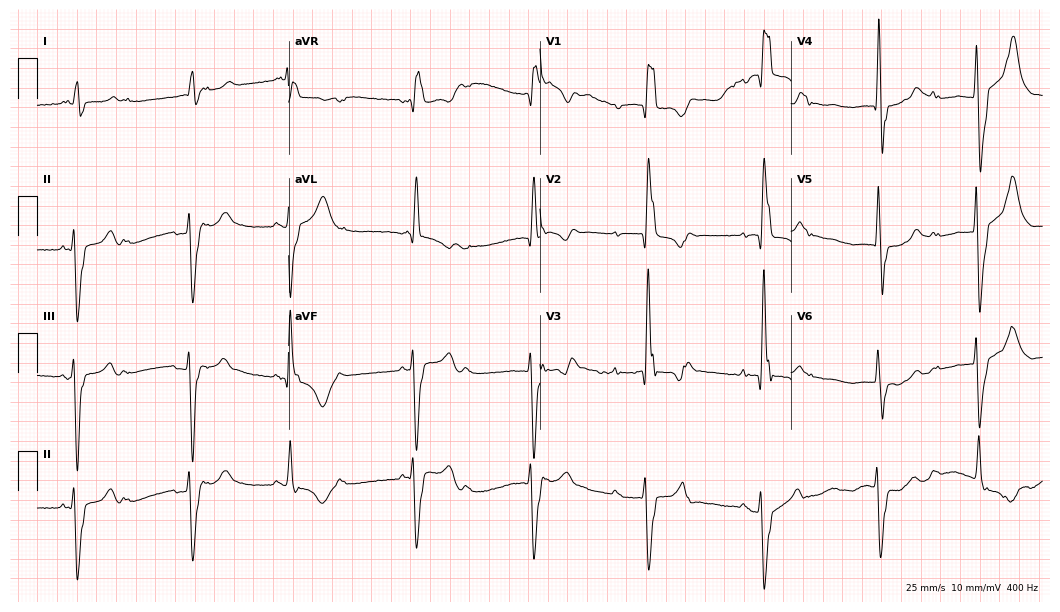
Resting 12-lead electrocardiogram (10.2-second recording at 400 Hz). Patient: a male, 84 years old. The tracing shows right bundle branch block.